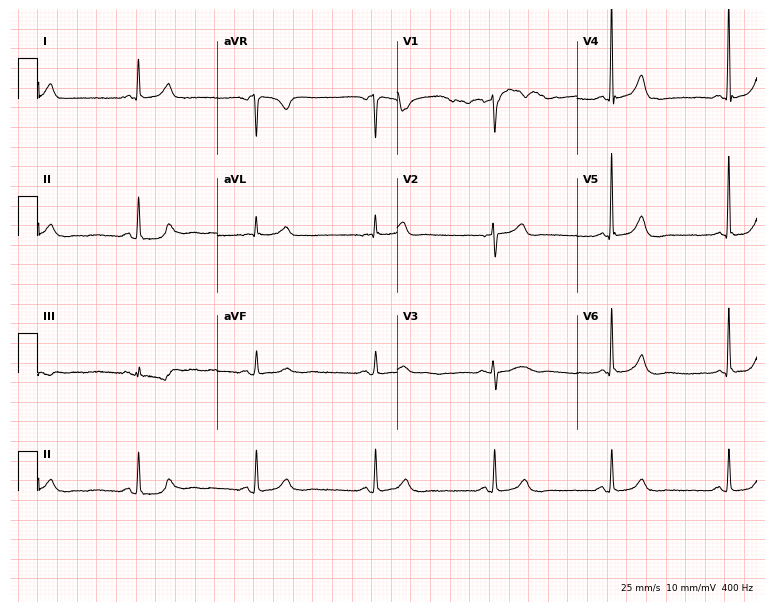
12-lead ECG from a 74-year-old female. Labelled as a normal ECG.